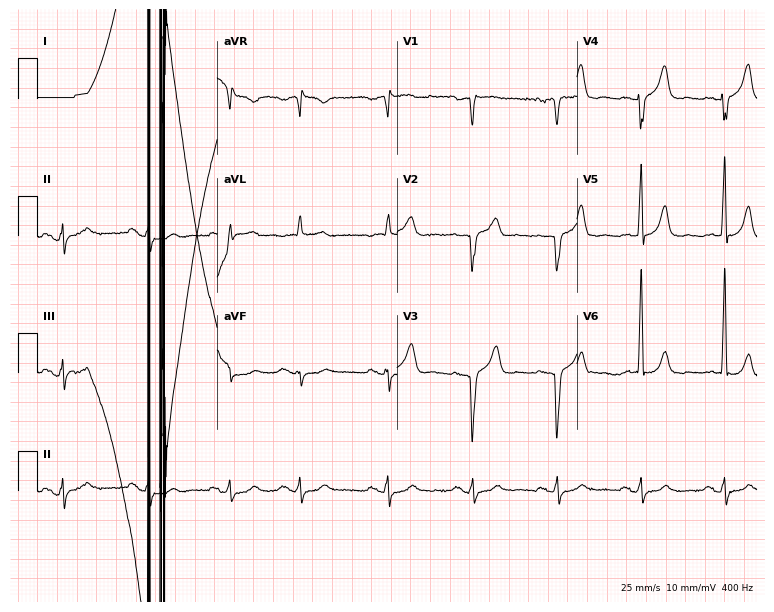
Resting 12-lead electrocardiogram. Patient: an 85-year-old male. None of these six findings is recorded: first-degree AV block, right bundle branch block, left bundle branch block, sinus bradycardia, atrial fibrillation, sinus tachycardia. Other findings, if any, are not listed.